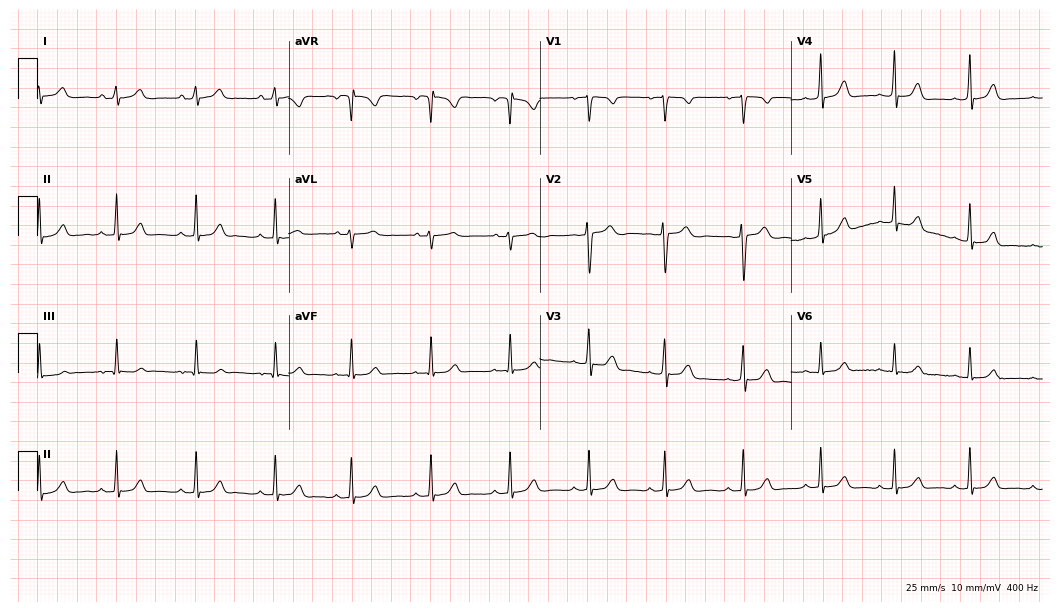
12-lead ECG from a 22-year-old female. Recorded interpretation: within normal limits.